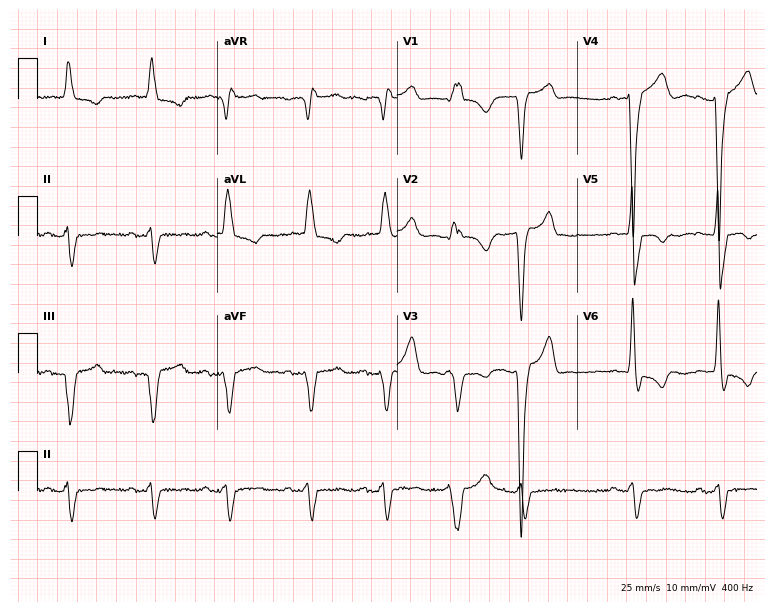
12-lead ECG from a man, 80 years old (7.3-second recording at 400 Hz). Shows first-degree AV block.